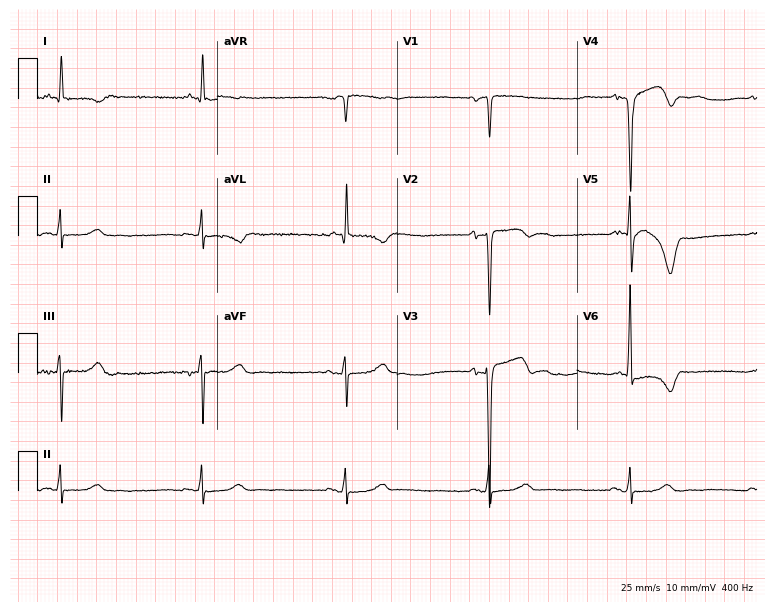
12-lead ECG from an 86-year-old female. Screened for six findings — first-degree AV block, right bundle branch block (RBBB), left bundle branch block (LBBB), sinus bradycardia, atrial fibrillation (AF), sinus tachycardia — none is recorded.